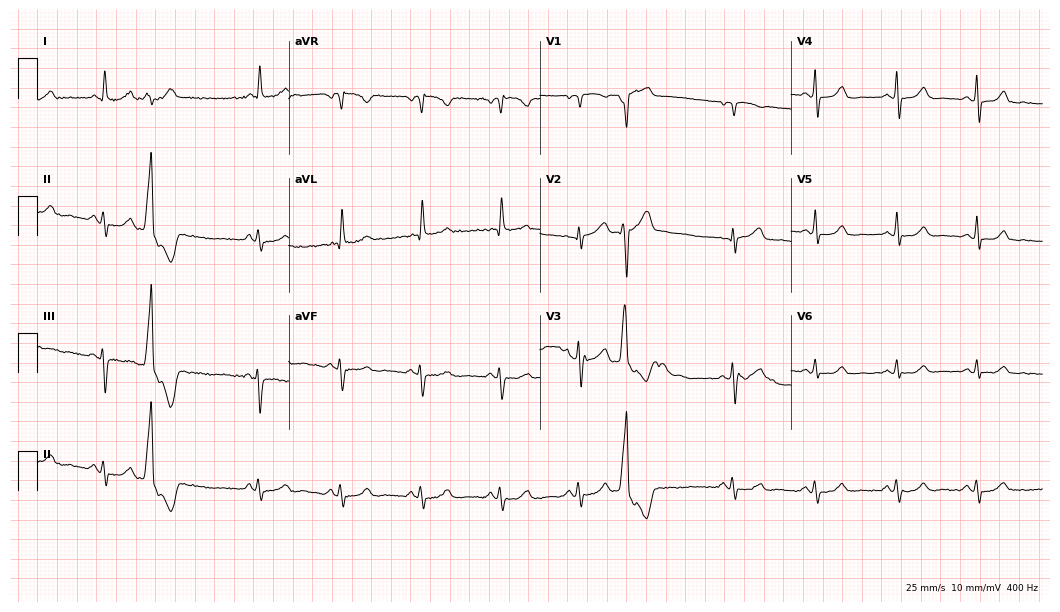
12-lead ECG from a female, 71 years old. No first-degree AV block, right bundle branch block, left bundle branch block, sinus bradycardia, atrial fibrillation or sinus tachycardia recorded for this tracing.